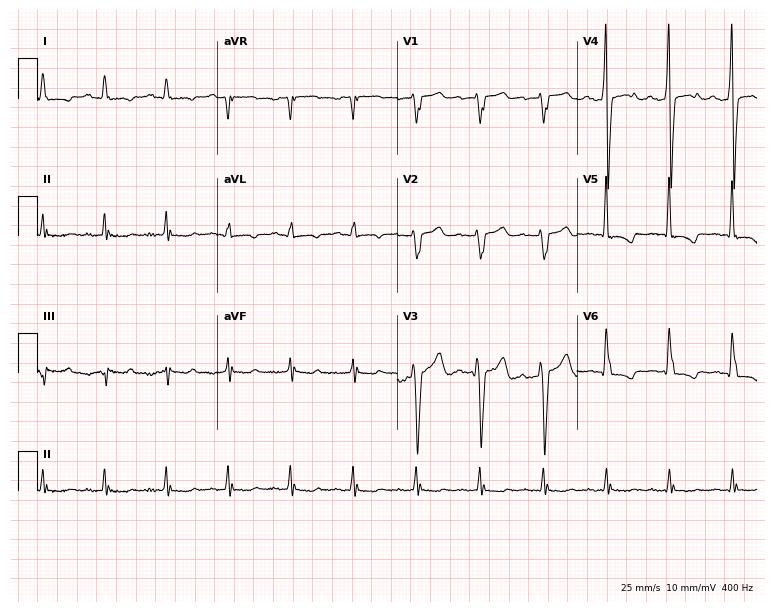
Standard 12-lead ECG recorded from a man, 46 years old (7.3-second recording at 400 Hz). The tracing shows left bundle branch block.